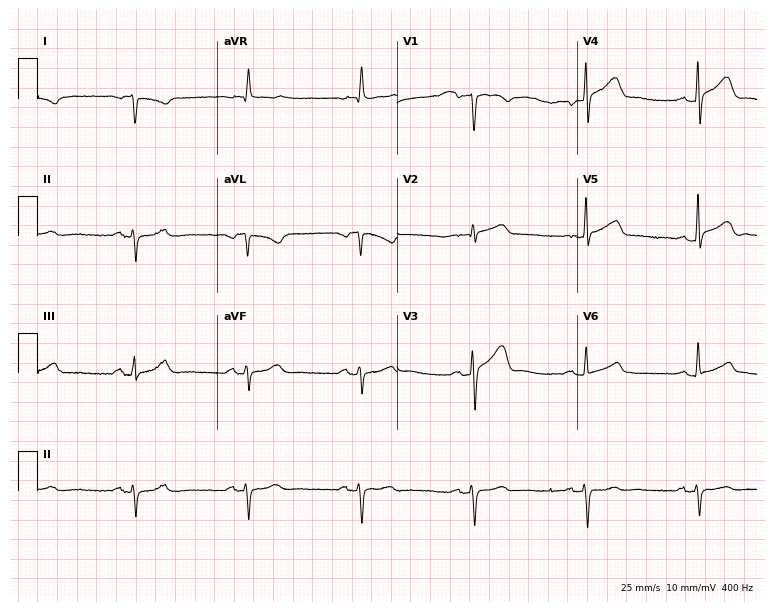
Resting 12-lead electrocardiogram (7.3-second recording at 400 Hz). Patient: a woman, 62 years old. None of these six findings is recorded: first-degree AV block, right bundle branch block, left bundle branch block, sinus bradycardia, atrial fibrillation, sinus tachycardia.